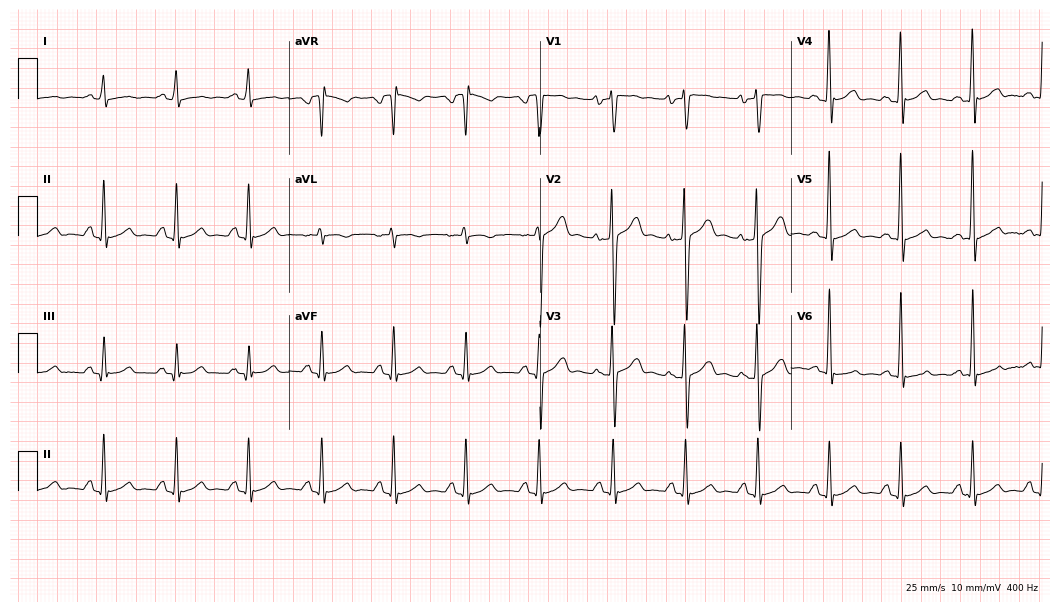
12-lead ECG from a 40-year-old man. Recorded interpretation: within normal limits.